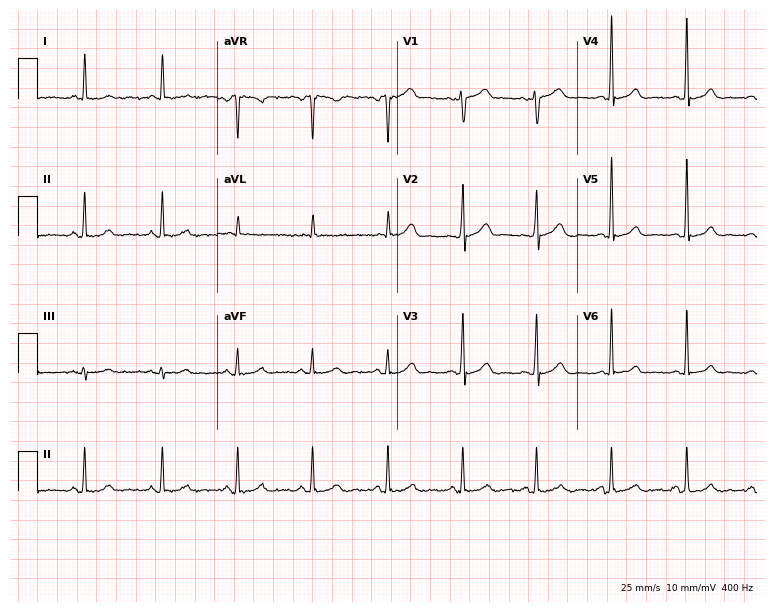
12-lead ECG from a male patient, 43 years old. Screened for six findings — first-degree AV block, right bundle branch block, left bundle branch block, sinus bradycardia, atrial fibrillation, sinus tachycardia — none is recorded.